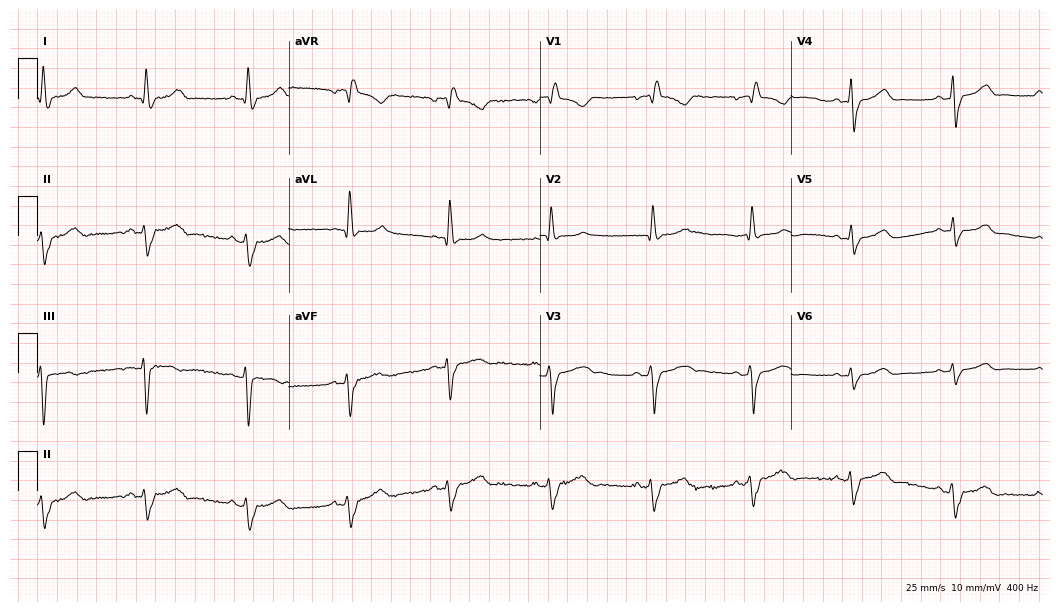
Standard 12-lead ECG recorded from a 40-year-old female. The tracing shows right bundle branch block.